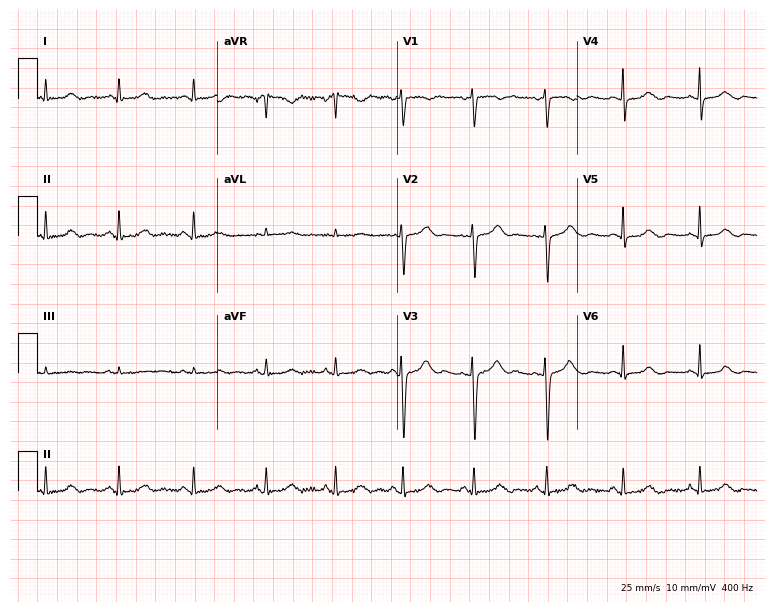
12-lead ECG from a 44-year-old female. Labelled as a normal ECG.